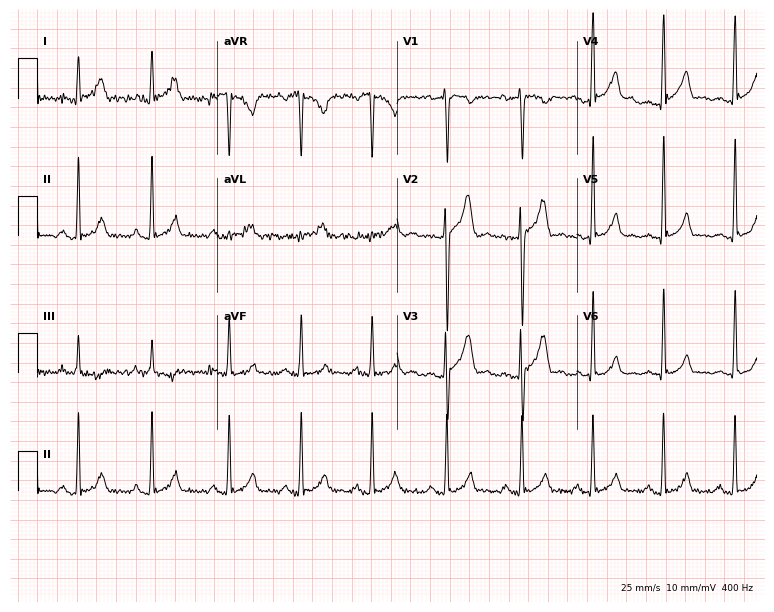
ECG (7.3-second recording at 400 Hz) — a male, 21 years old. Labelled as a normal ECG.